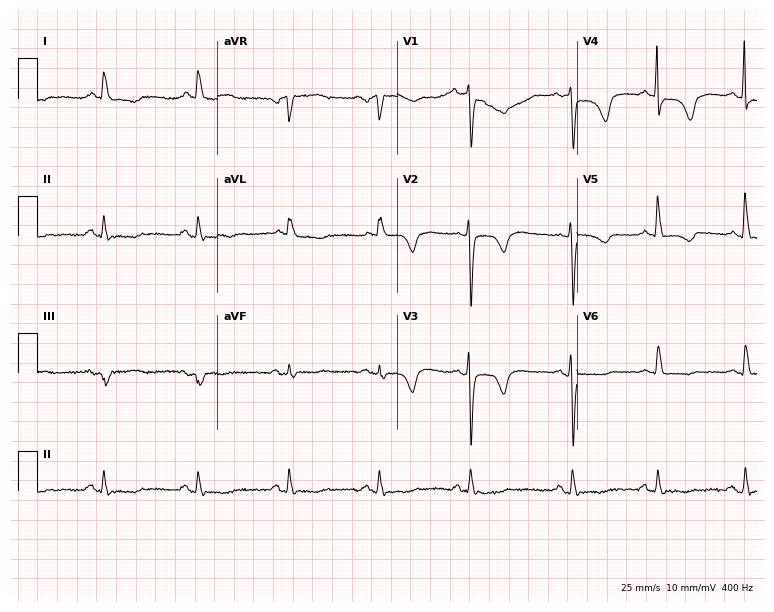
12-lead ECG from a female, 85 years old. No first-degree AV block, right bundle branch block (RBBB), left bundle branch block (LBBB), sinus bradycardia, atrial fibrillation (AF) or sinus tachycardia recorded for this tracing.